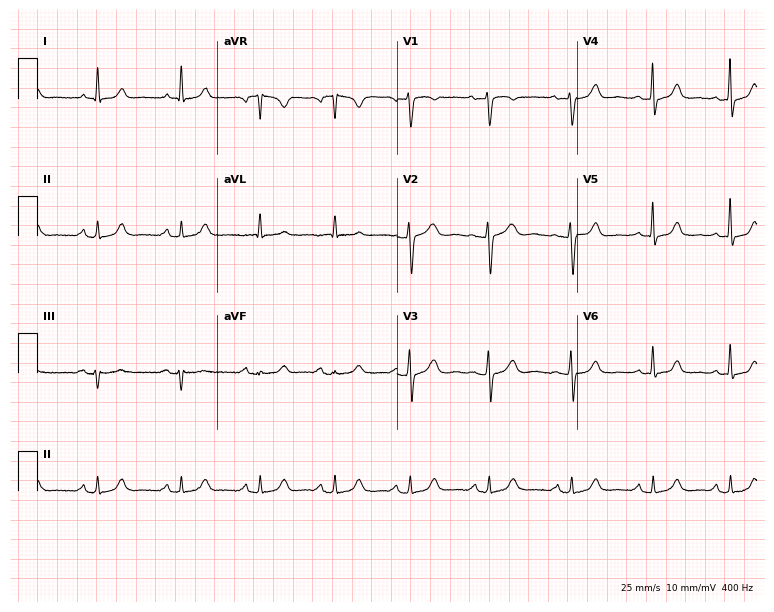
ECG — a female patient, 49 years old. Labelled as a normal ECG.